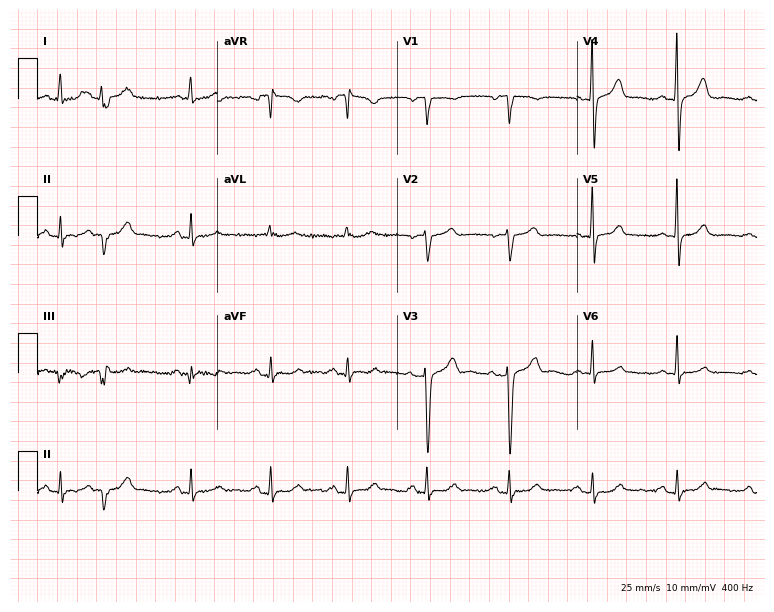
Resting 12-lead electrocardiogram (7.3-second recording at 400 Hz). Patient: a 53-year-old woman. None of these six findings is recorded: first-degree AV block, right bundle branch block, left bundle branch block, sinus bradycardia, atrial fibrillation, sinus tachycardia.